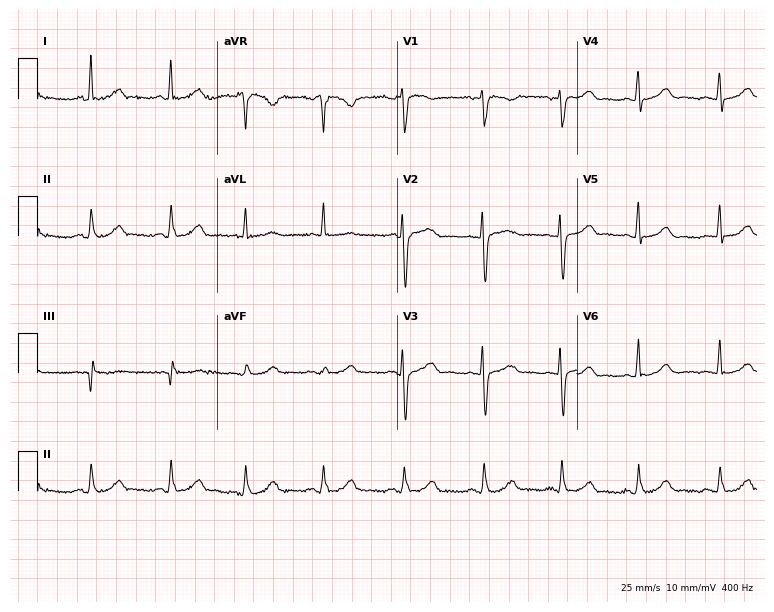
Electrocardiogram (7.3-second recording at 400 Hz), a woman, 45 years old. Overall reading on record: normal ECG.